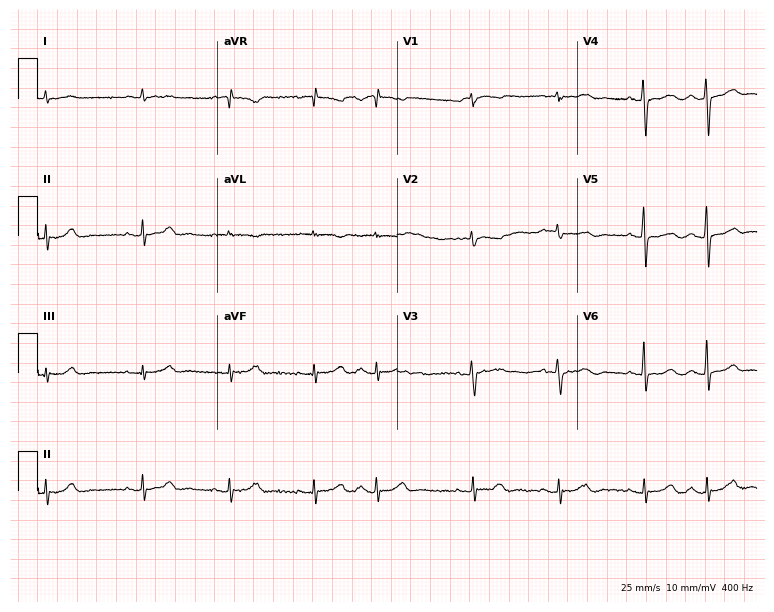
Electrocardiogram, a man, 73 years old. Overall reading on record: normal ECG.